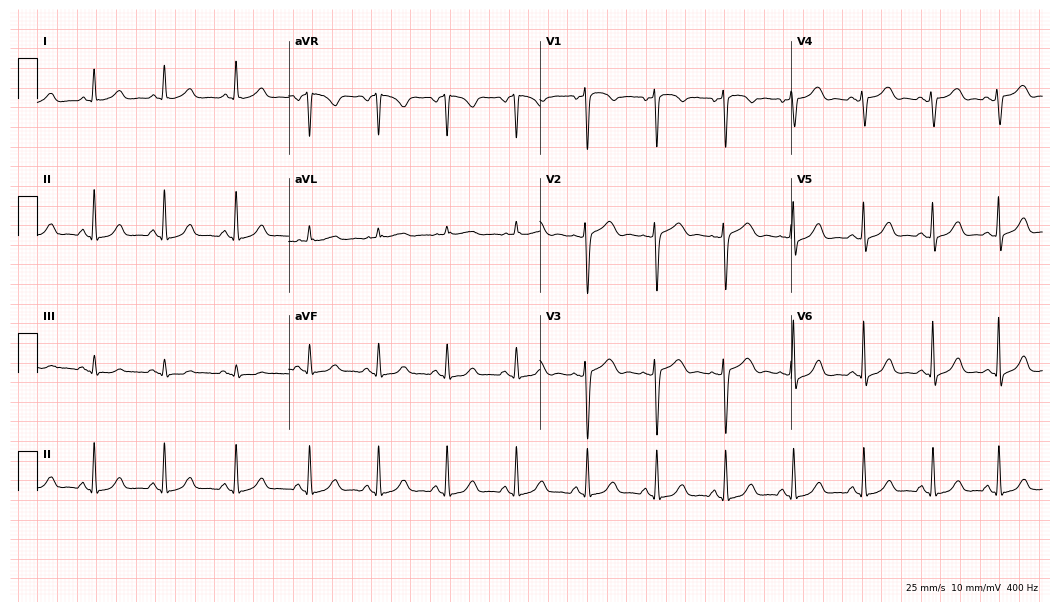
ECG — a 55-year-old female. Labelled as a normal ECG.